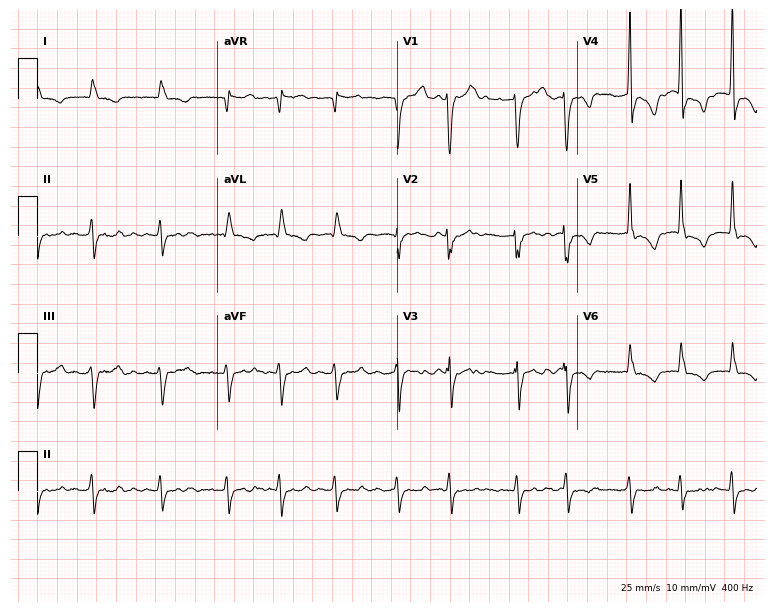
12-lead ECG (7.3-second recording at 400 Hz) from an 82-year-old female patient. Findings include atrial fibrillation (AF).